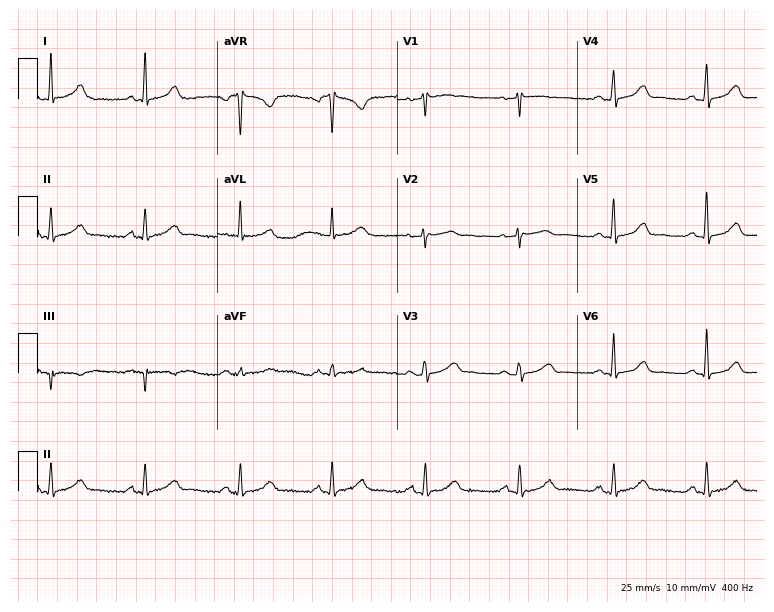
12-lead ECG from a female patient, 62 years old. Recorded interpretation: within normal limits.